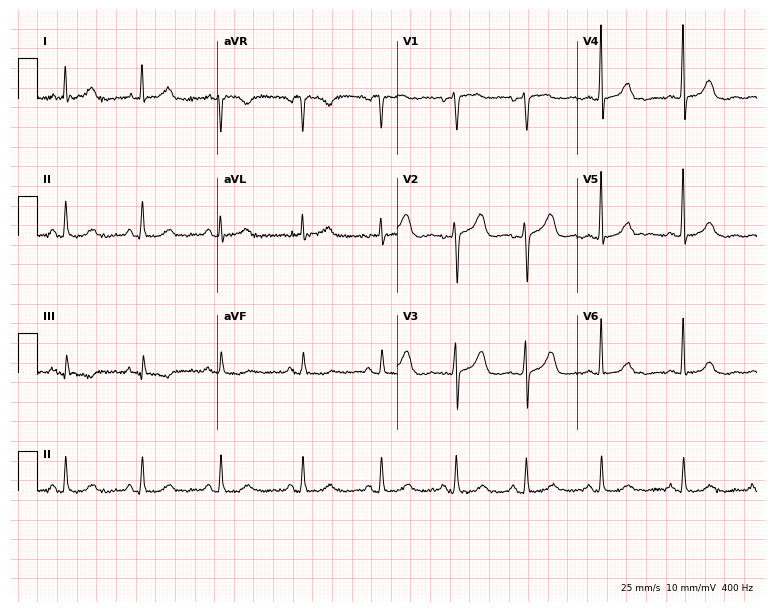
ECG — a 70-year-old woman. Screened for six findings — first-degree AV block, right bundle branch block, left bundle branch block, sinus bradycardia, atrial fibrillation, sinus tachycardia — none is recorded. Only these six findings were labelled.